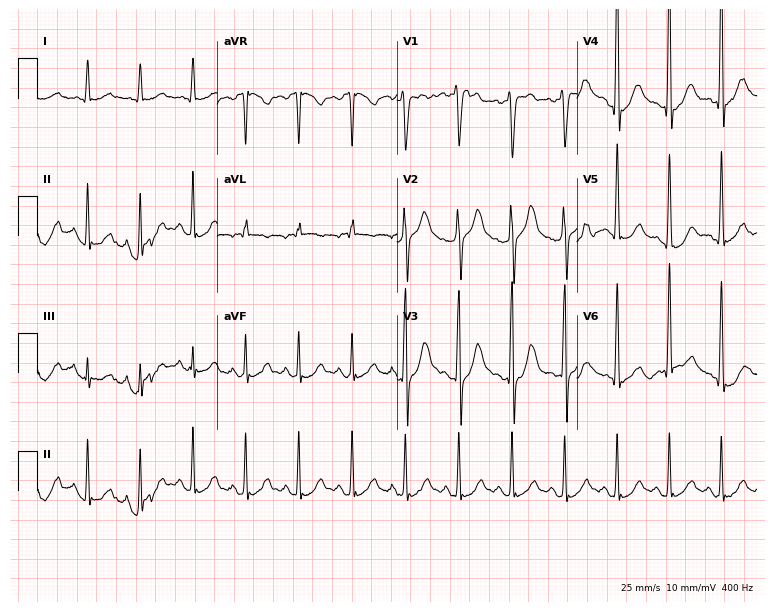
Electrocardiogram (7.3-second recording at 400 Hz), a 55-year-old male. Interpretation includes sinus tachycardia (a sinus rate of 100 beats per minute or more).